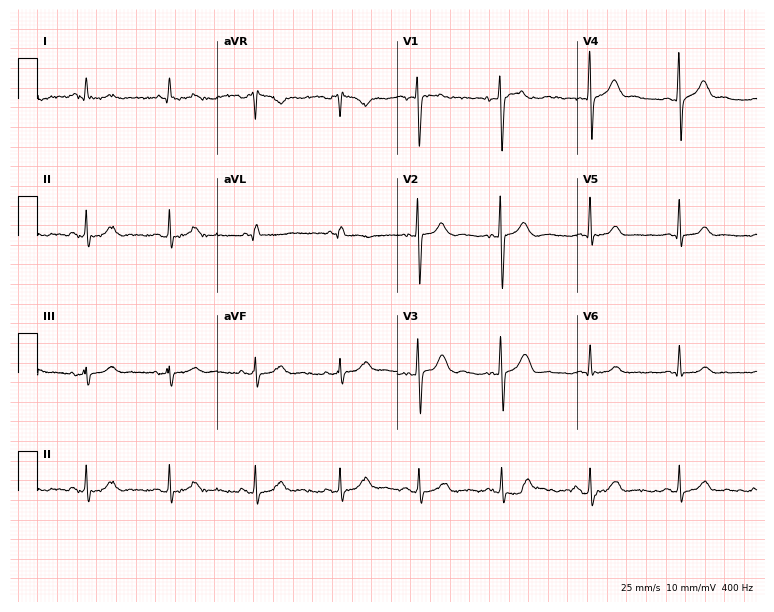
Standard 12-lead ECG recorded from a 27-year-old male patient. Read as a normal ECG.